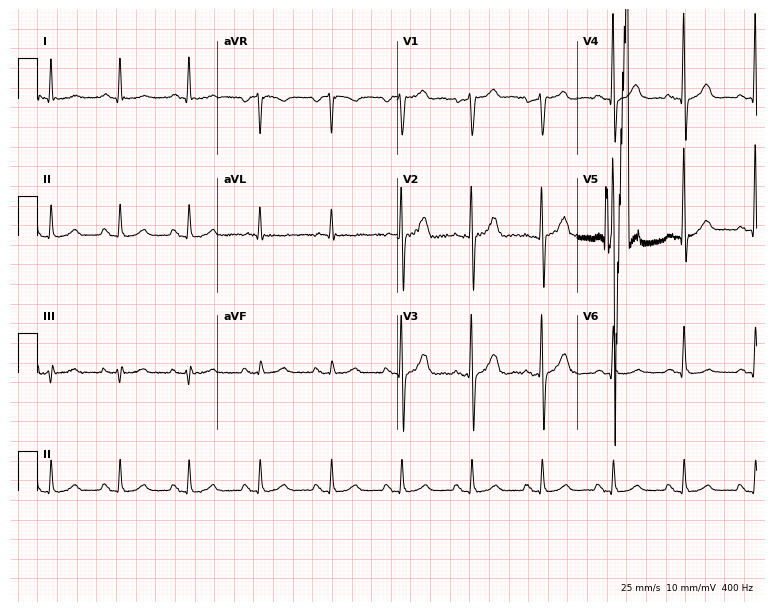
12-lead ECG from a 63-year-old male patient. Screened for six findings — first-degree AV block, right bundle branch block, left bundle branch block, sinus bradycardia, atrial fibrillation, sinus tachycardia — none is recorded. Other findings, if any, are not listed.